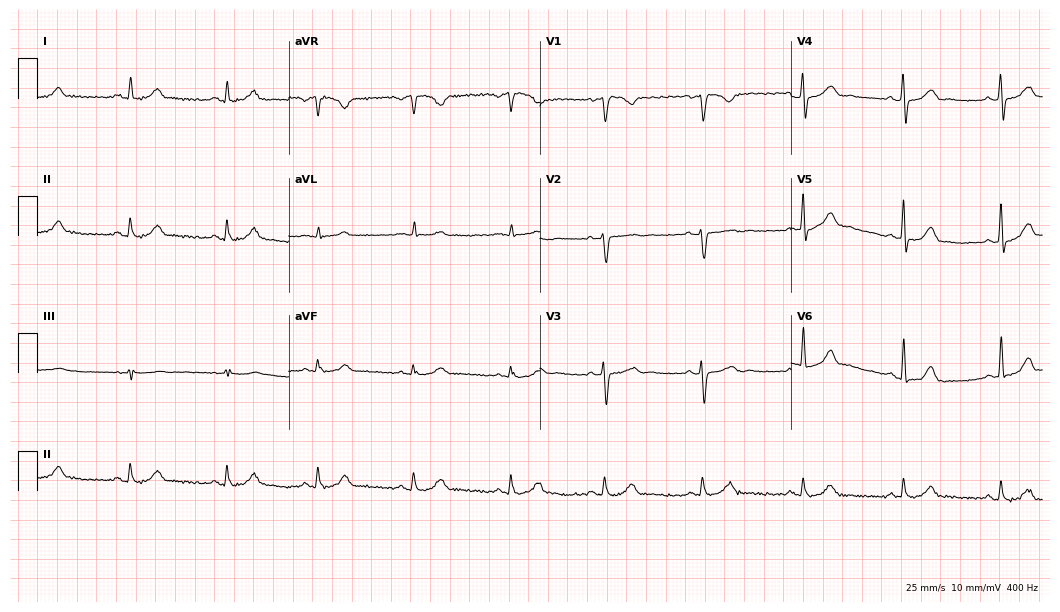
ECG — a 41-year-old woman. Labelled as a normal ECG.